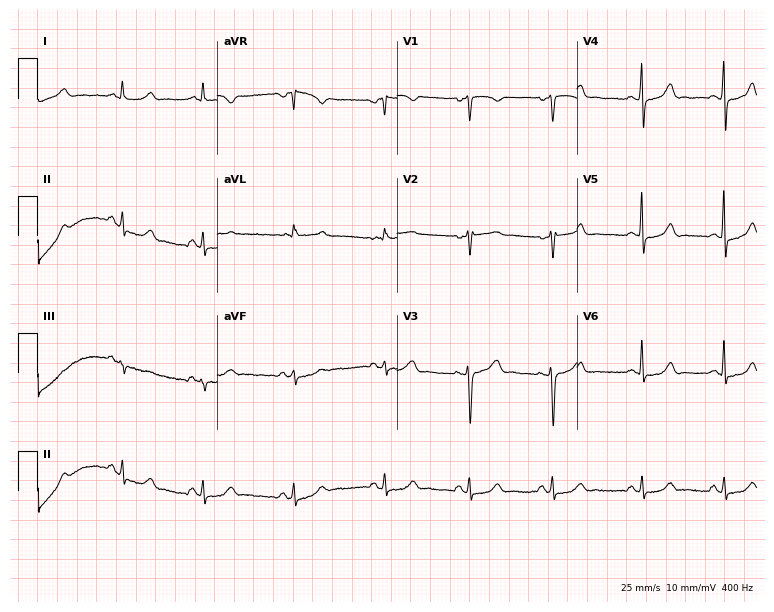
Standard 12-lead ECG recorded from a woman, 30 years old (7.3-second recording at 400 Hz). None of these six findings is recorded: first-degree AV block, right bundle branch block (RBBB), left bundle branch block (LBBB), sinus bradycardia, atrial fibrillation (AF), sinus tachycardia.